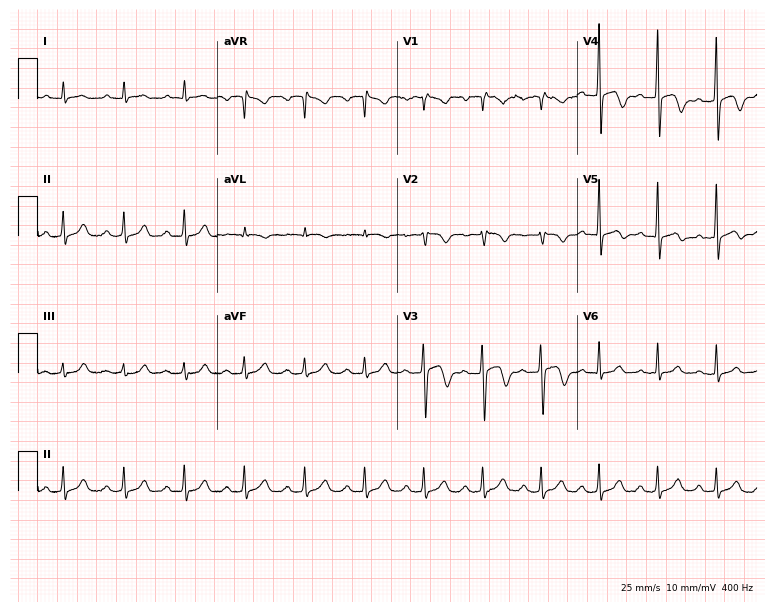
ECG — a male, 49 years old. Screened for six findings — first-degree AV block, right bundle branch block, left bundle branch block, sinus bradycardia, atrial fibrillation, sinus tachycardia — none is recorded.